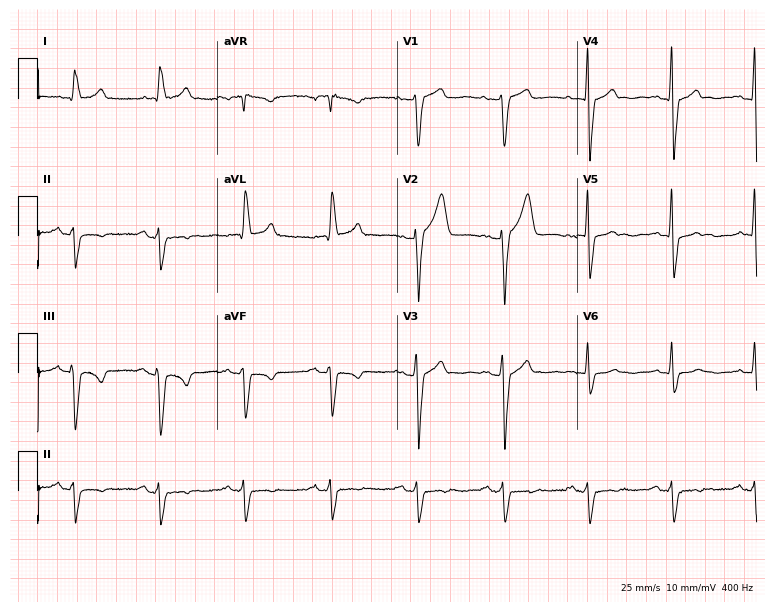
Resting 12-lead electrocardiogram (7.3-second recording at 400 Hz). Patient: a man, 65 years old. None of these six findings is recorded: first-degree AV block, right bundle branch block, left bundle branch block, sinus bradycardia, atrial fibrillation, sinus tachycardia.